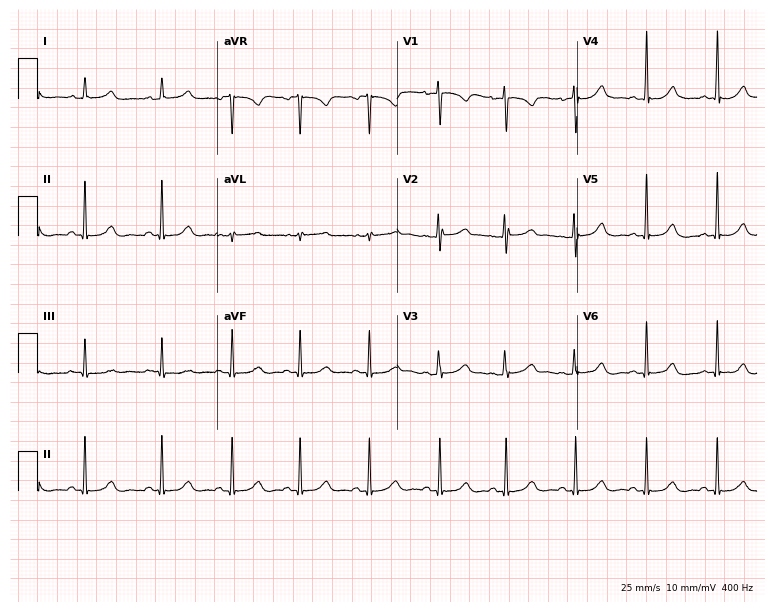
Electrocardiogram (7.3-second recording at 400 Hz), a woman, 38 years old. Overall reading on record: normal ECG.